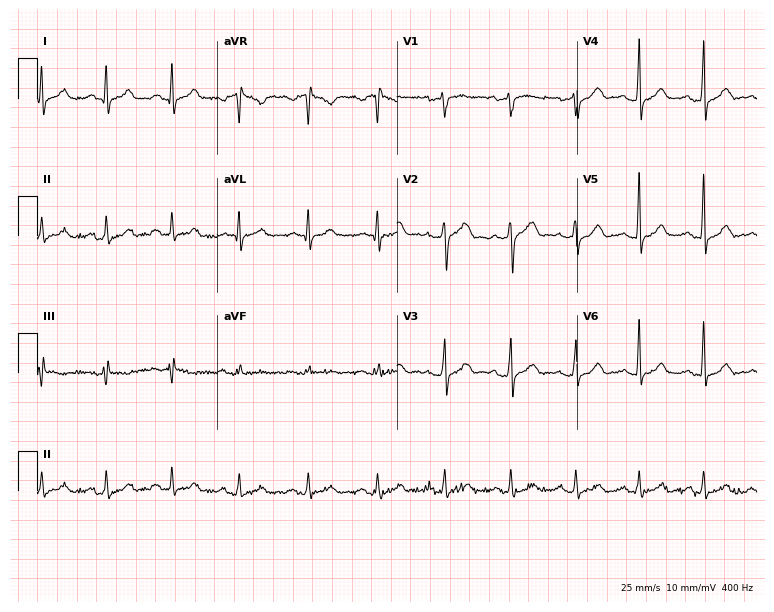
12-lead ECG from a 40-year-old male. Recorded interpretation: within normal limits.